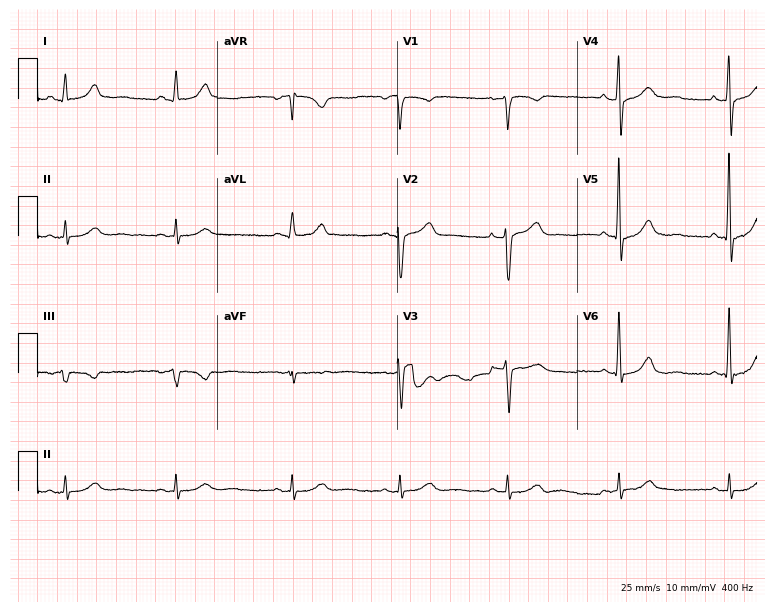
12-lead ECG from a man, 62 years old (7.3-second recording at 400 Hz). Recorded interpretation: within normal limits.